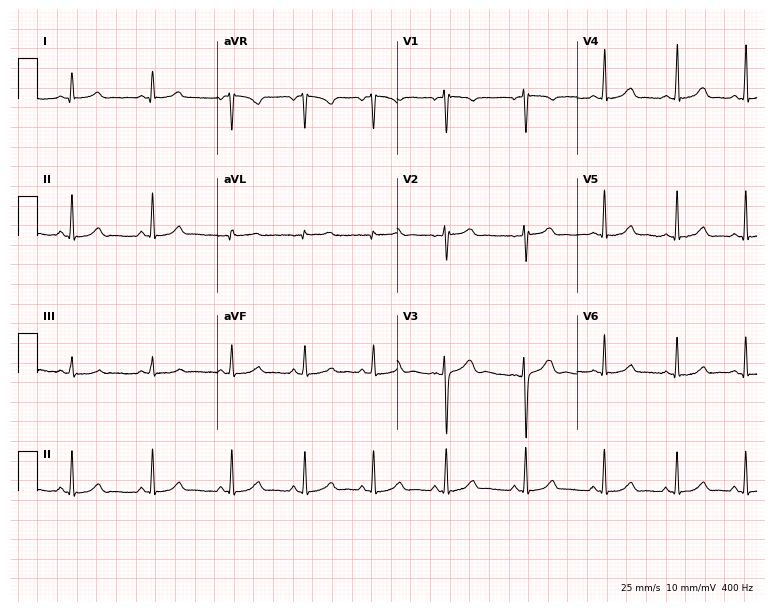
Electrocardiogram, a female, 22 years old. Overall reading on record: normal ECG.